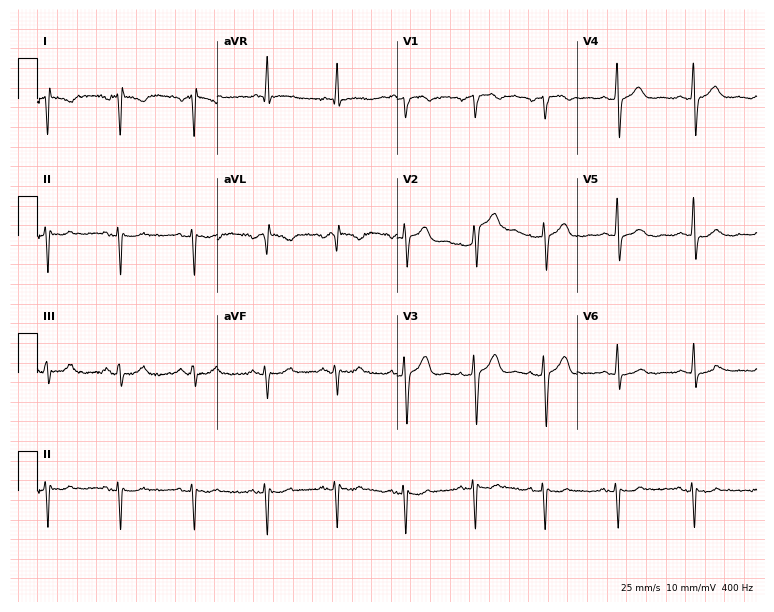
Resting 12-lead electrocardiogram. Patient: a male, 56 years old. None of these six findings is recorded: first-degree AV block, right bundle branch block, left bundle branch block, sinus bradycardia, atrial fibrillation, sinus tachycardia. Only these six findings were labelled.